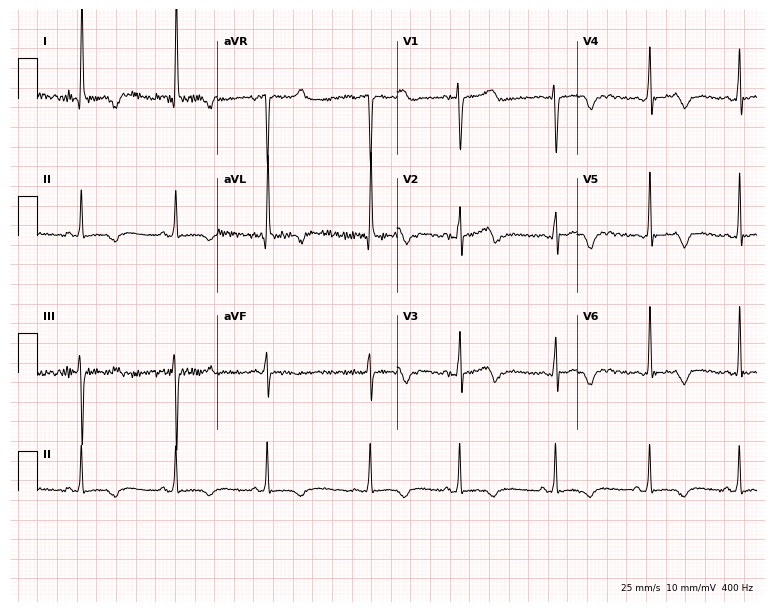
Resting 12-lead electrocardiogram. Patient: a 53-year-old female. None of these six findings is recorded: first-degree AV block, right bundle branch block, left bundle branch block, sinus bradycardia, atrial fibrillation, sinus tachycardia. Other findings, if any, are not listed.